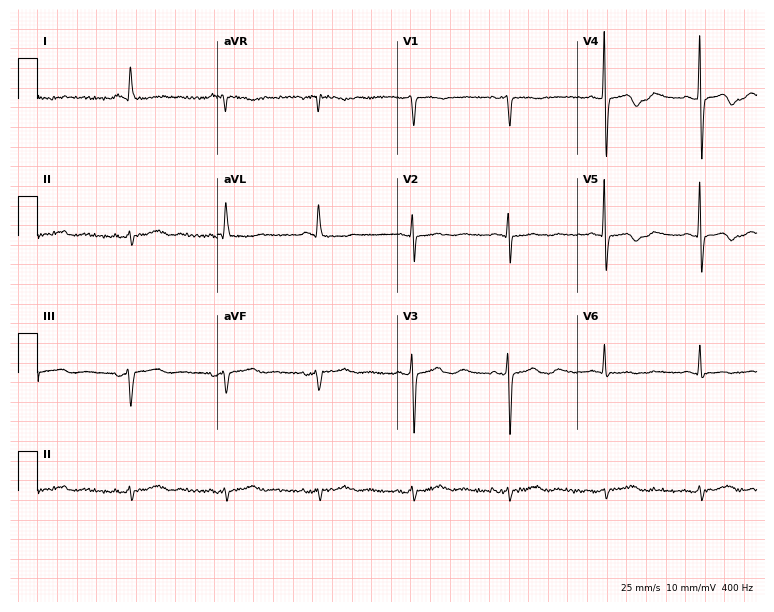
12-lead ECG (7.3-second recording at 400 Hz) from a 75-year-old female. Screened for six findings — first-degree AV block, right bundle branch block, left bundle branch block, sinus bradycardia, atrial fibrillation, sinus tachycardia — none is recorded.